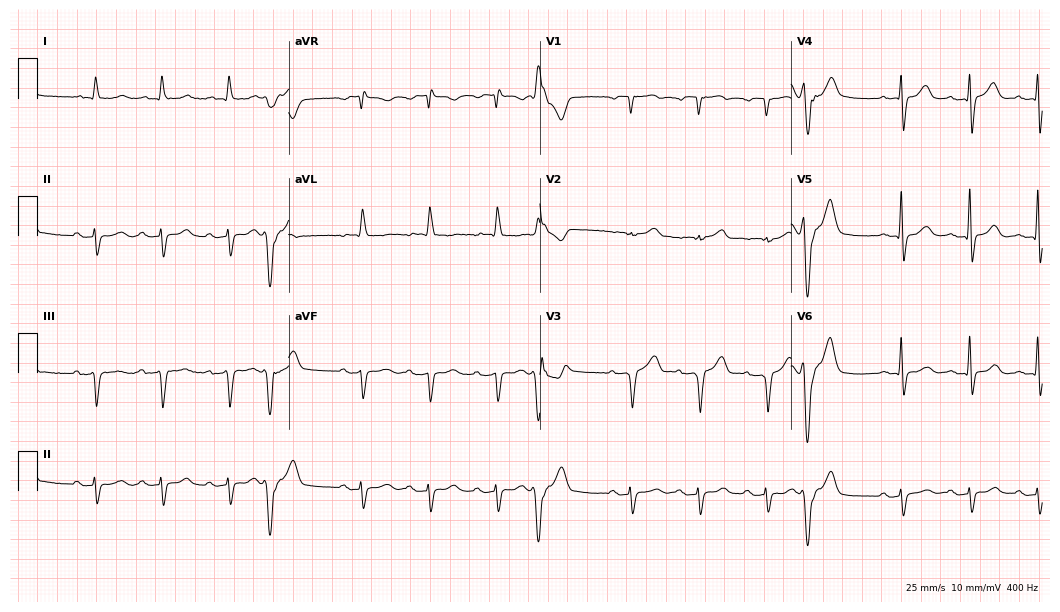
Resting 12-lead electrocardiogram. Patient: an 82-year-old male. None of these six findings is recorded: first-degree AV block, right bundle branch block (RBBB), left bundle branch block (LBBB), sinus bradycardia, atrial fibrillation (AF), sinus tachycardia. Only these six findings were labelled.